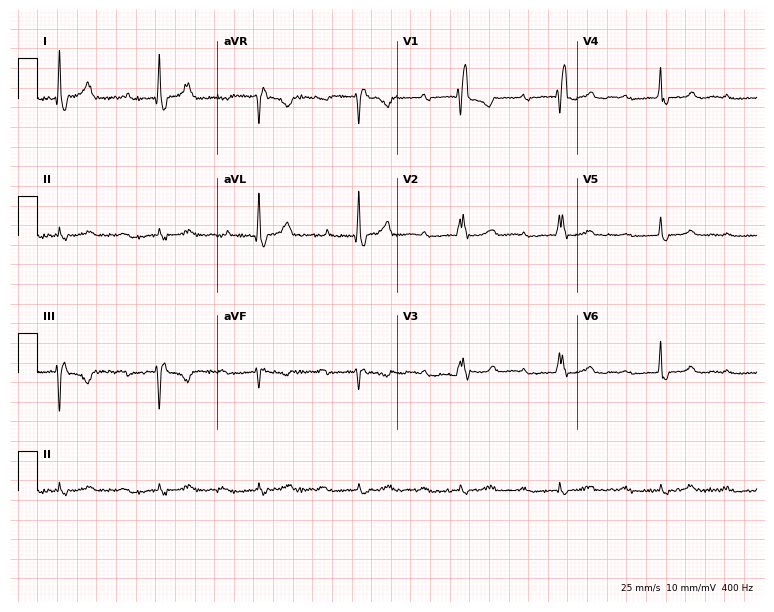
12-lead ECG from a woman, 72 years old (7.3-second recording at 400 Hz). No first-degree AV block, right bundle branch block, left bundle branch block, sinus bradycardia, atrial fibrillation or sinus tachycardia recorded for this tracing. Other findings, if any, are not listed.